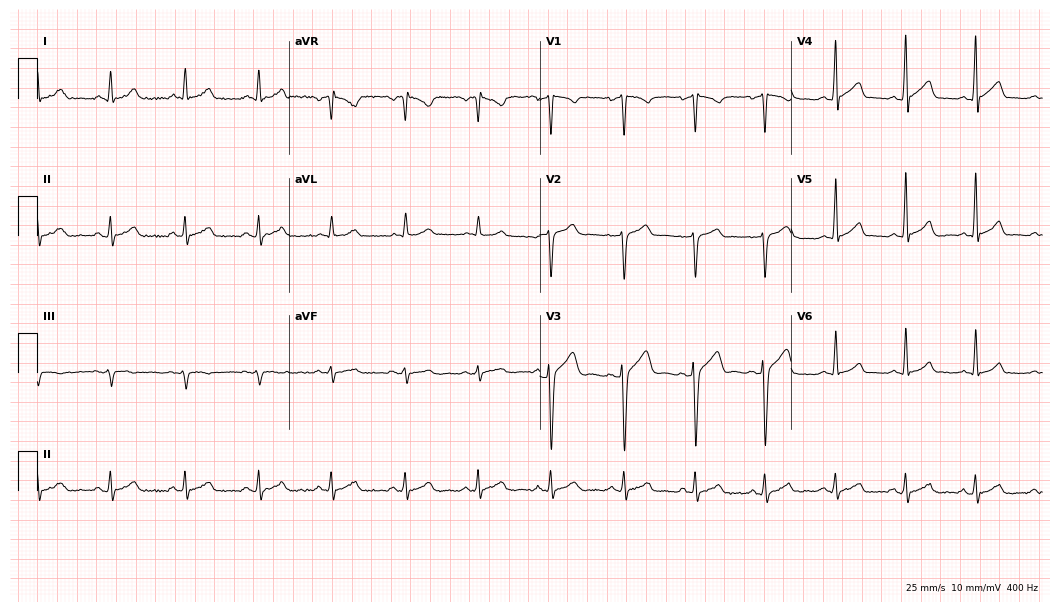
Electrocardiogram (10.2-second recording at 400 Hz), a male, 32 years old. Overall reading on record: normal ECG.